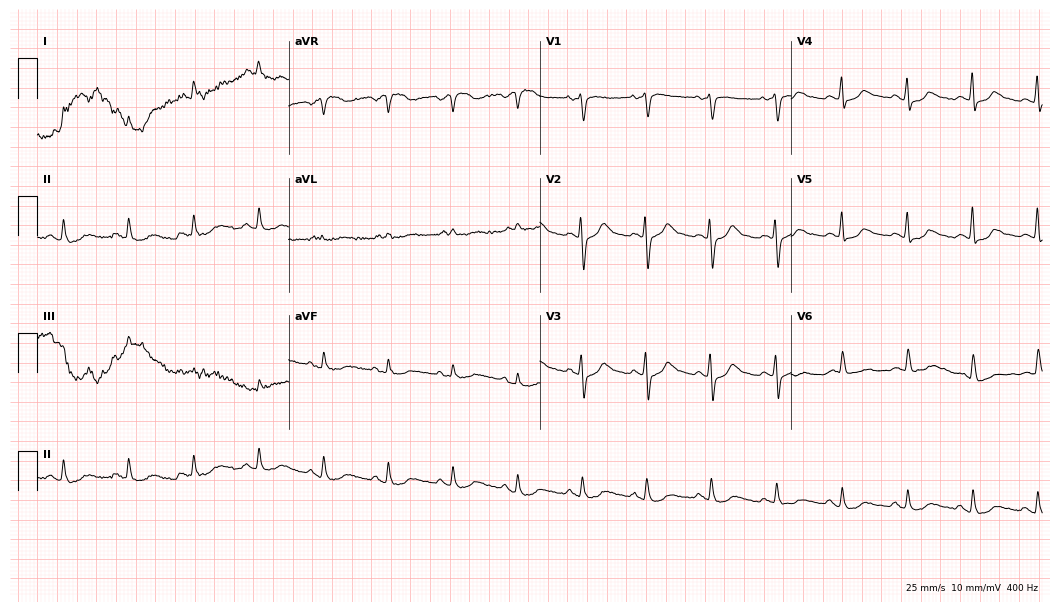
Resting 12-lead electrocardiogram (10.2-second recording at 400 Hz). Patient: a woman, 85 years old. Read as a normal ECG.